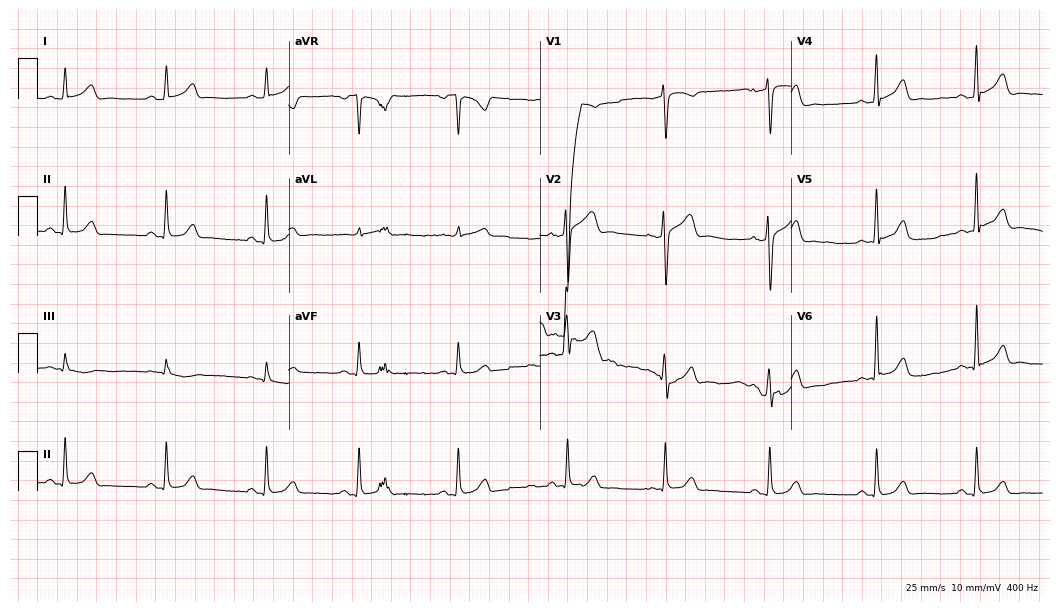
Electrocardiogram, a man, 29 years old. Of the six screened findings (first-degree AV block, right bundle branch block, left bundle branch block, sinus bradycardia, atrial fibrillation, sinus tachycardia), none is recorded. Other findings, if any, are not listed.